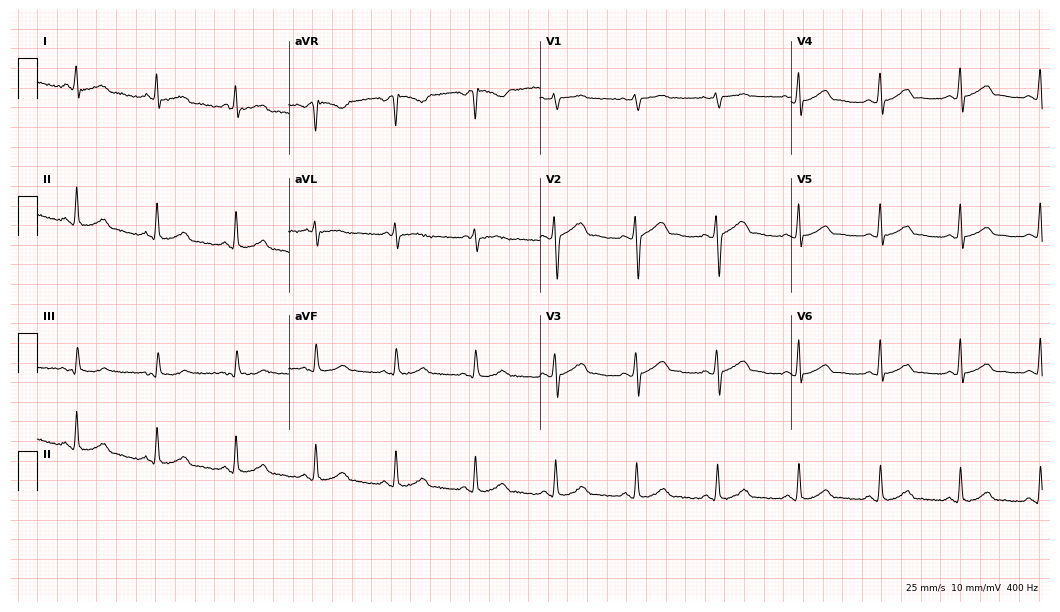
Standard 12-lead ECG recorded from a 35-year-old male patient (10.2-second recording at 400 Hz). Read as a normal ECG.